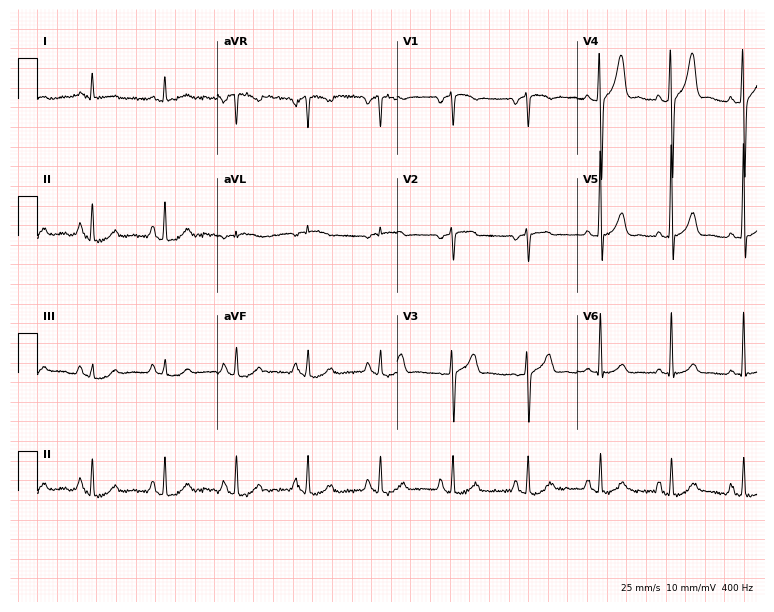
12-lead ECG (7.3-second recording at 400 Hz) from a 54-year-old man. Screened for six findings — first-degree AV block, right bundle branch block (RBBB), left bundle branch block (LBBB), sinus bradycardia, atrial fibrillation (AF), sinus tachycardia — none is recorded. Only these six findings were labelled.